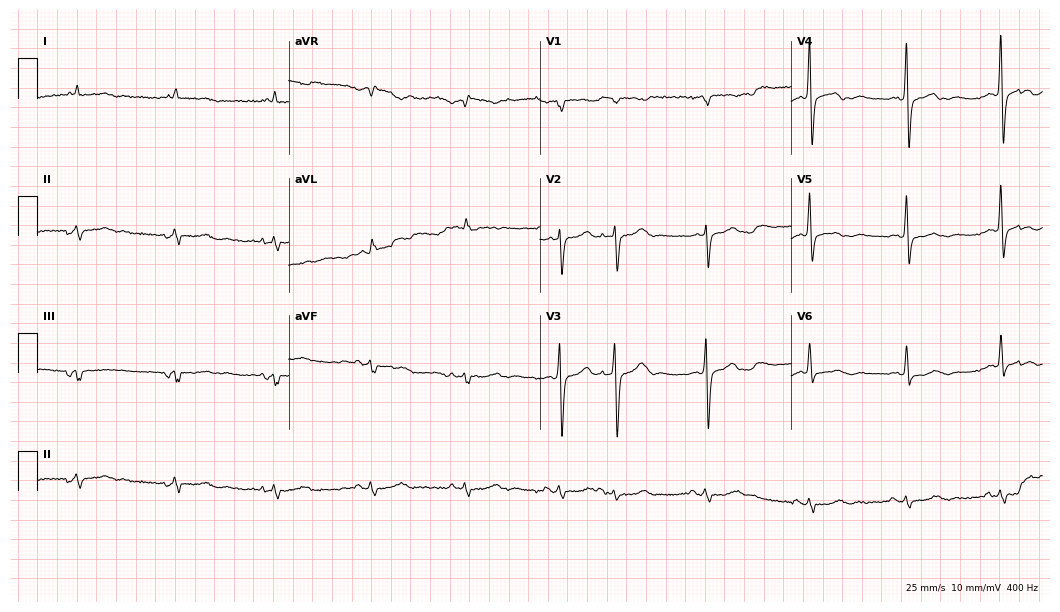
12-lead ECG from an 83-year-old male patient. No first-degree AV block, right bundle branch block, left bundle branch block, sinus bradycardia, atrial fibrillation or sinus tachycardia recorded for this tracing.